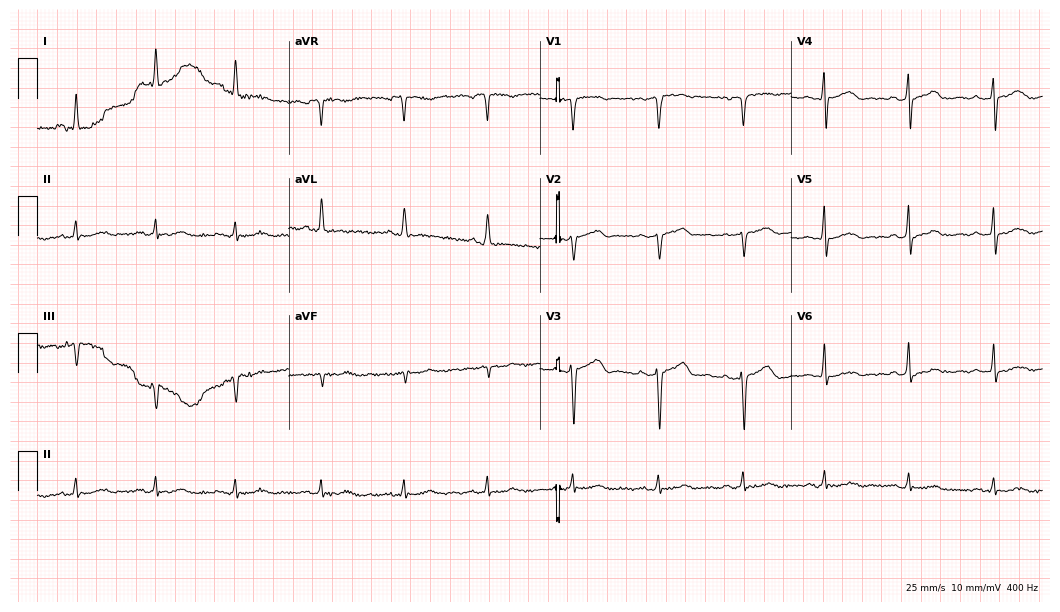
Electrocardiogram, a 57-year-old female. Of the six screened findings (first-degree AV block, right bundle branch block, left bundle branch block, sinus bradycardia, atrial fibrillation, sinus tachycardia), none is recorded. Findings outside these six are not listed.